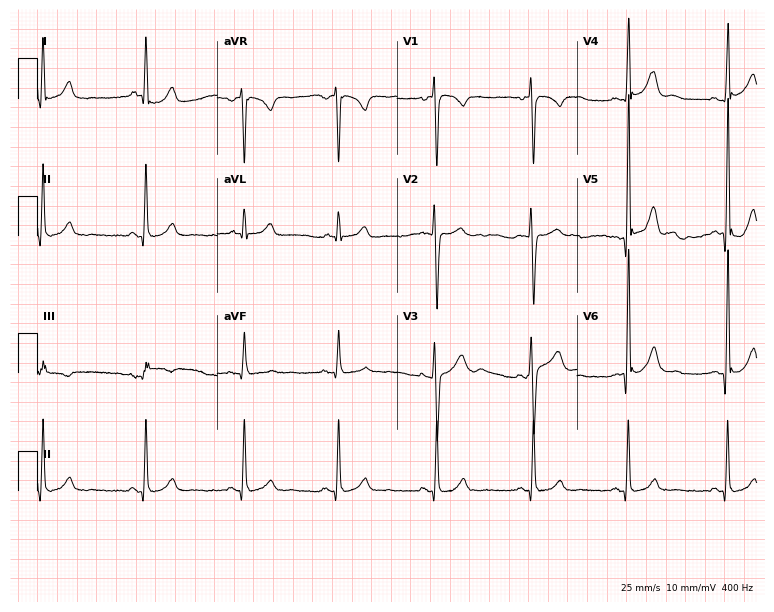
12-lead ECG from a male patient, 40 years old. Recorded interpretation: within normal limits.